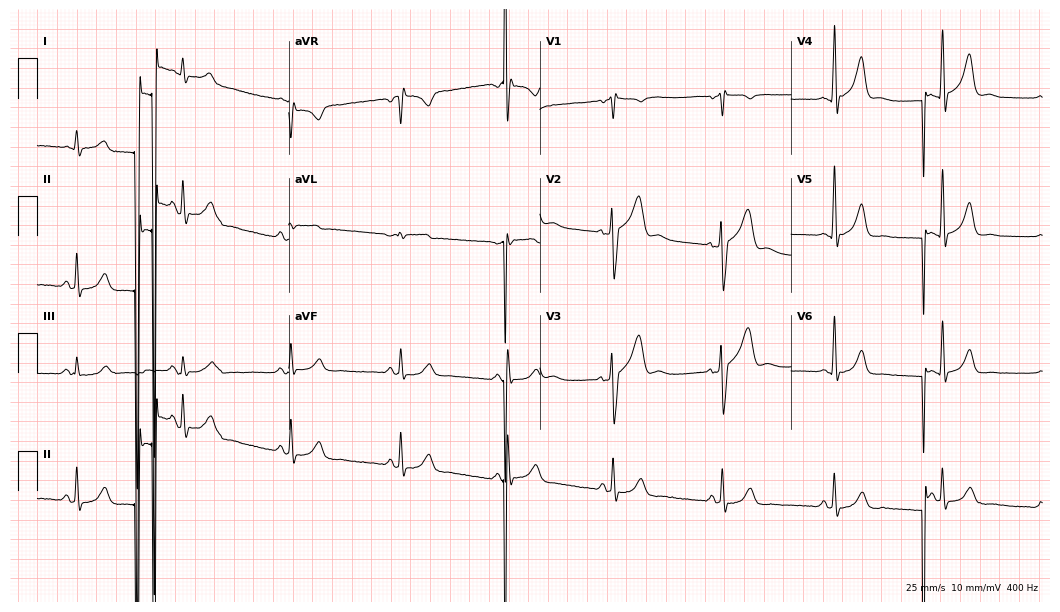
12-lead ECG (10.2-second recording at 400 Hz) from a 48-year-old male patient. Screened for six findings — first-degree AV block, right bundle branch block, left bundle branch block, sinus bradycardia, atrial fibrillation, sinus tachycardia — none is recorded.